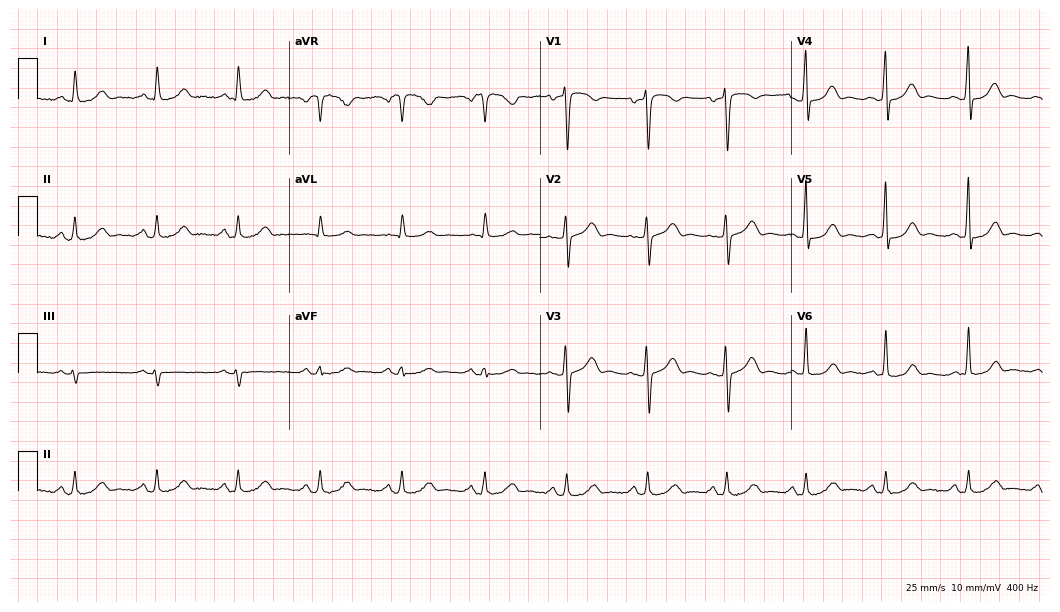
Resting 12-lead electrocardiogram (10.2-second recording at 400 Hz). Patient: a 60-year-old woman. Read as a normal ECG.